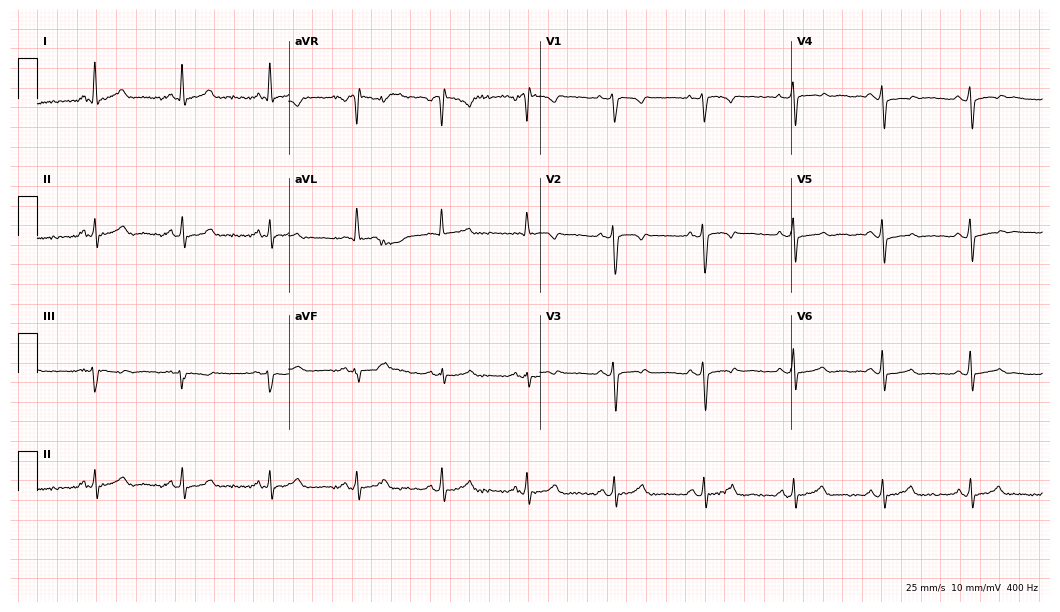
12-lead ECG from a female, 60 years old. Screened for six findings — first-degree AV block, right bundle branch block, left bundle branch block, sinus bradycardia, atrial fibrillation, sinus tachycardia — none is recorded. Other findings, if any, are not listed.